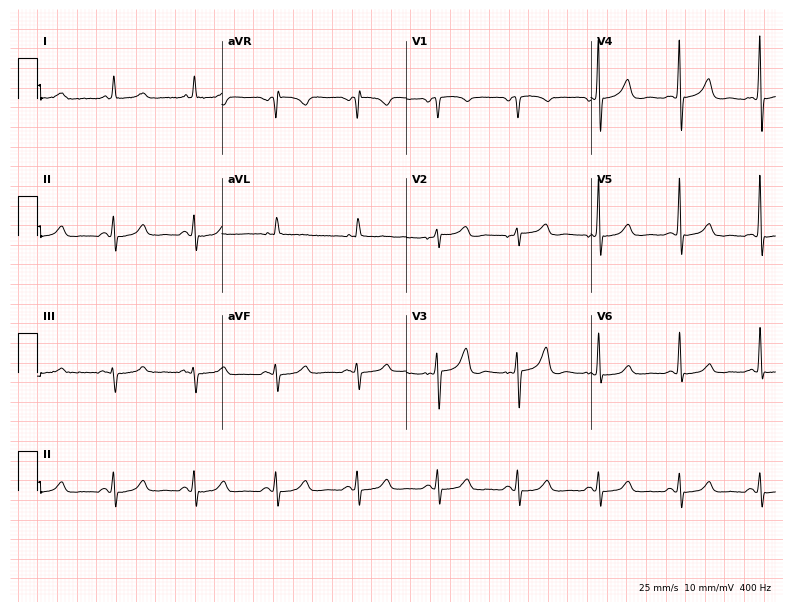
Resting 12-lead electrocardiogram (7.5-second recording at 400 Hz). Patient: a 64-year-old woman. Read as a normal ECG.